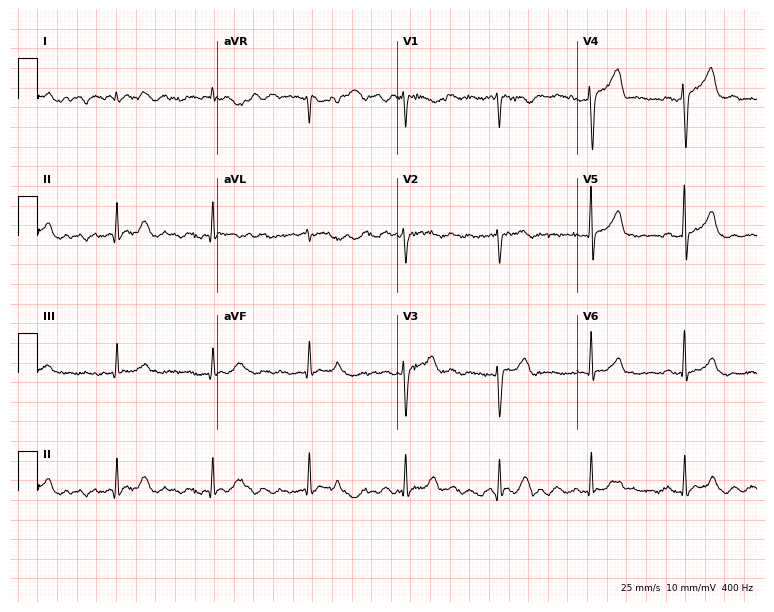
Resting 12-lead electrocardiogram. Patient: an 81-year-old man. None of these six findings is recorded: first-degree AV block, right bundle branch block (RBBB), left bundle branch block (LBBB), sinus bradycardia, atrial fibrillation (AF), sinus tachycardia.